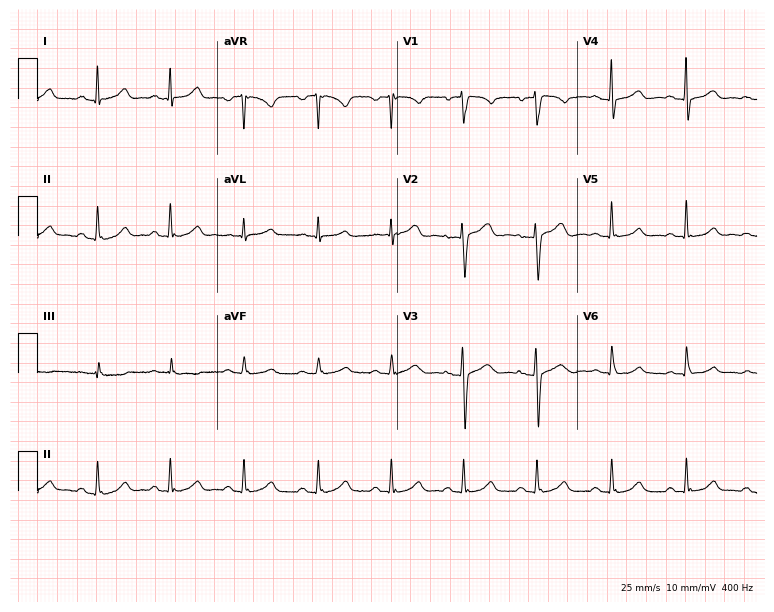
12-lead ECG from a female, 51 years old. Labelled as a normal ECG.